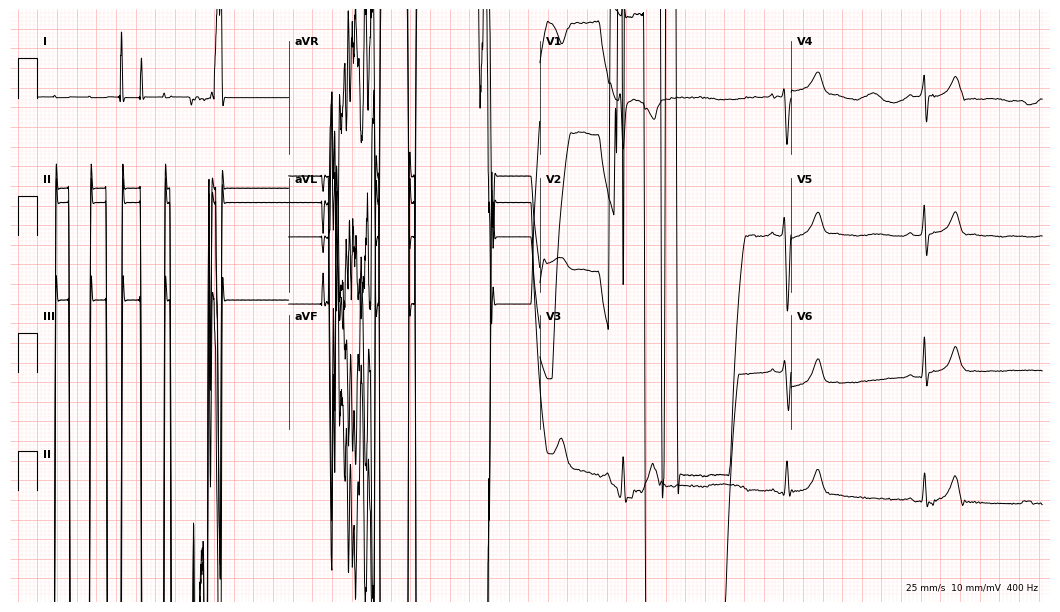
12-lead ECG from a 24-year-old male patient. No first-degree AV block, right bundle branch block, left bundle branch block, sinus bradycardia, atrial fibrillation or sinus tachycardia recorded for this tracing.